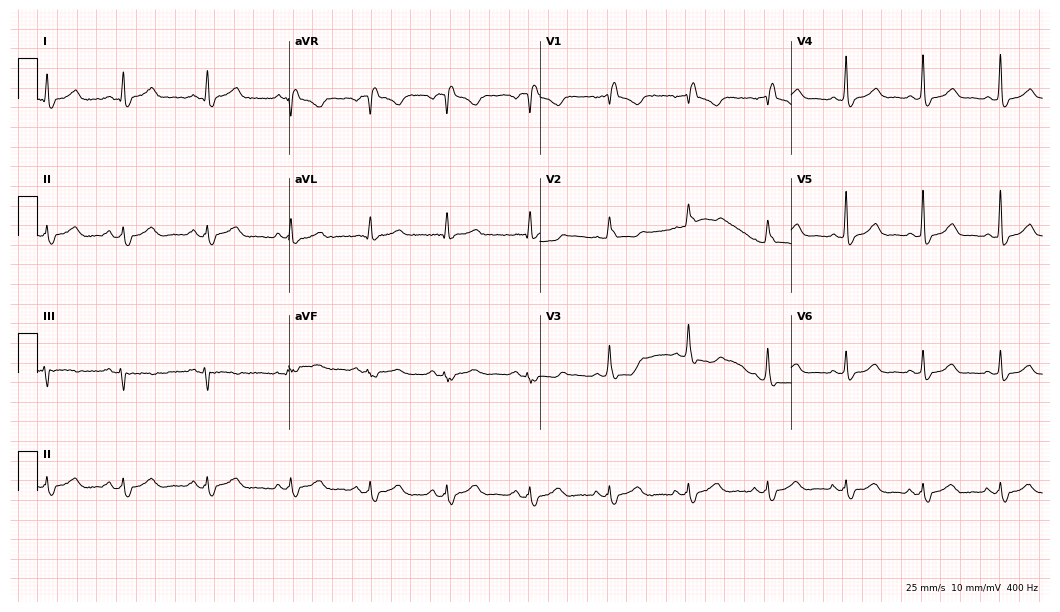
Resting 12-lead electrocardiogram (10.2-second recording at 400 Hz). Patient: a 47-year-old female. The tracing shows right bundle branch block.